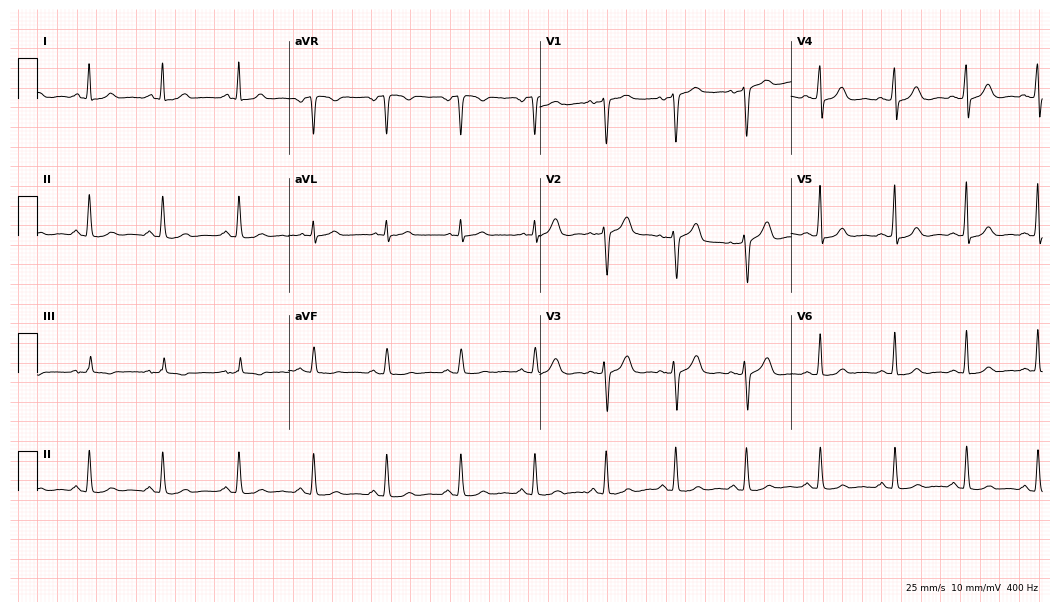
12-lead ECG from a female patient, 44 years old. Labelled as a normal ECG.